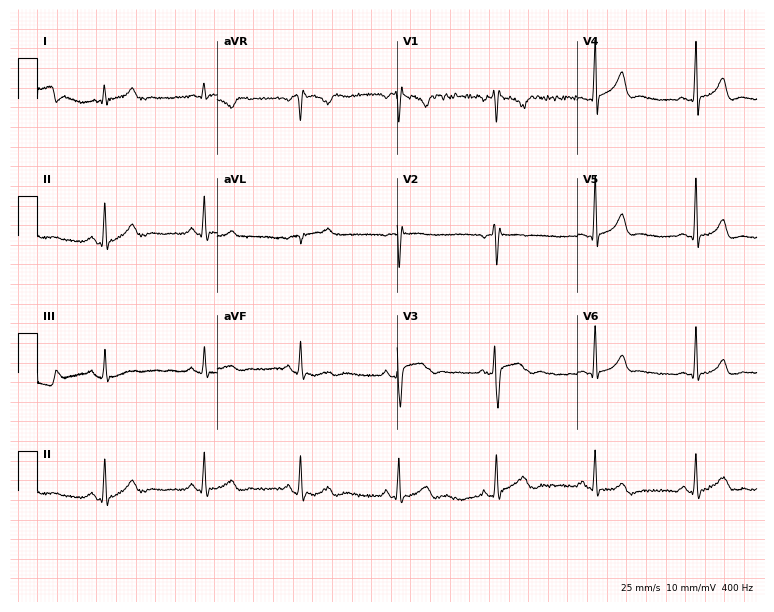
ECG (7.3-second recording at 400 Hz) — a 43-year-old male. Labelled as a normal ECG.